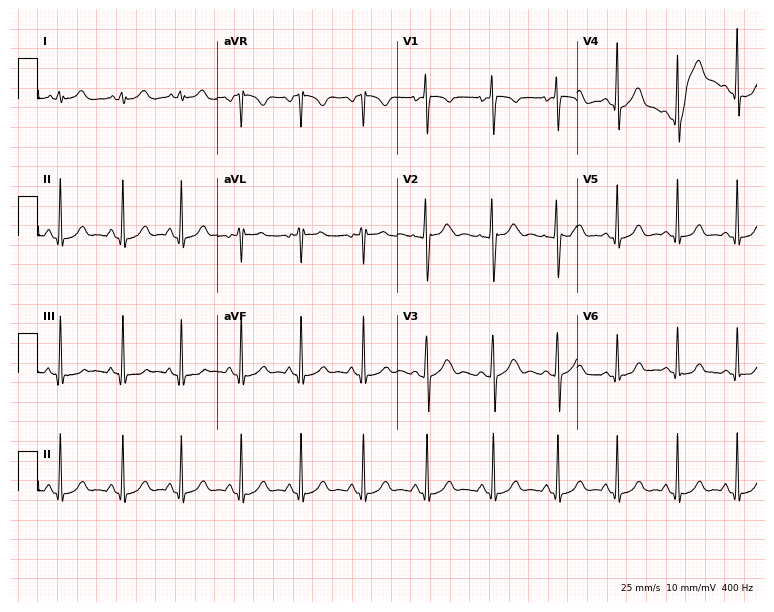
12-lead ECG from a 22-year-old female. Screened for six findings — first-degree AV block, right bundle branch block, left bundle branch block, sinus bradycardia, atrial fibrillation, sinus tachycardia — none is recorded. Findings outside these six are not listed.